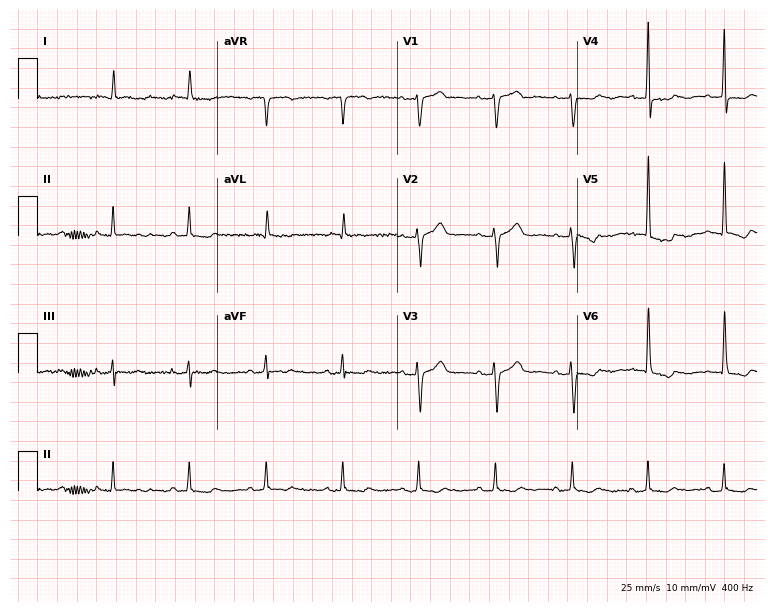
12-lead ECG from a woman, 81 years old (7.3-second recording at 400 Hz). No first-degree AV block, right bundle branch block (RBBB), left bundle branch block (LBBB), sinus bradycardia, atrial fibrillation (AF) or sinus tachycardia recorded for this tracing.